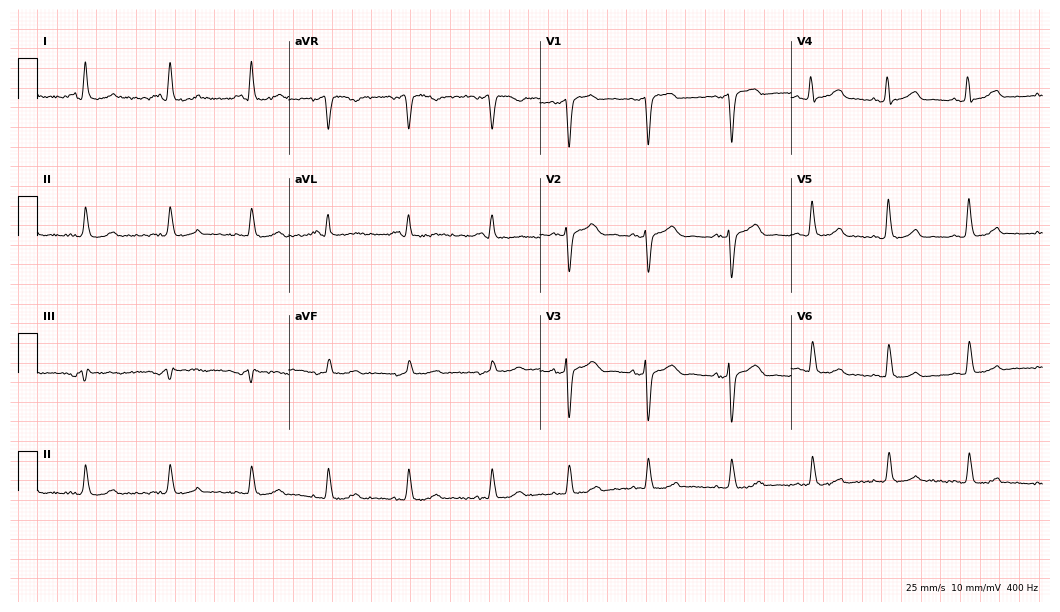
Standard 12-lead ECG recorded from a 49-year-old man (10.2-second recording at 400 Hz). None of these six findings is recorded: first-degree AV block, right bundle branch block, left bundle branch block, sinus bradycardia, atrial fibrillation, sinus tachycardia.